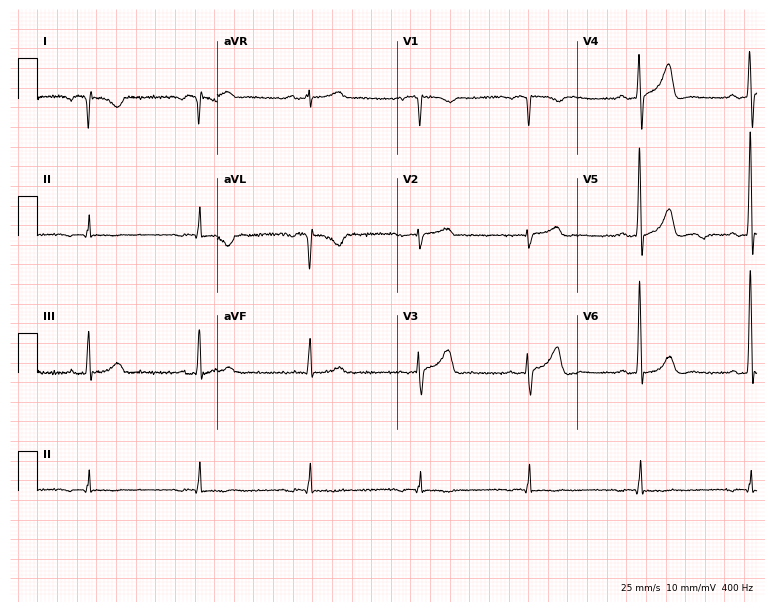
Standard 12-lead ECG recorded from a male patient, 77 years old. None of these six findings is recorded: first-degree AV block, right bundle branch block, left bundle branch block, sinus bradycardia, atrial fibrillation, sinus tachycardia. Only these six findings were labelled.